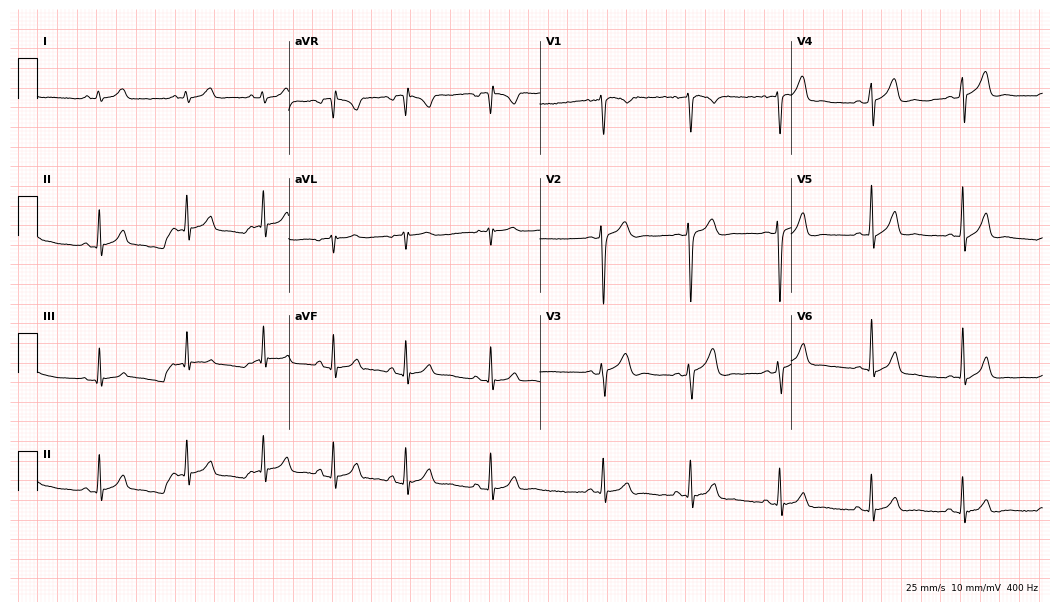
12-lead ECG (10.2-second recording at 400 Hz) from a man, 21 years old. Labelled as a normal ECG.